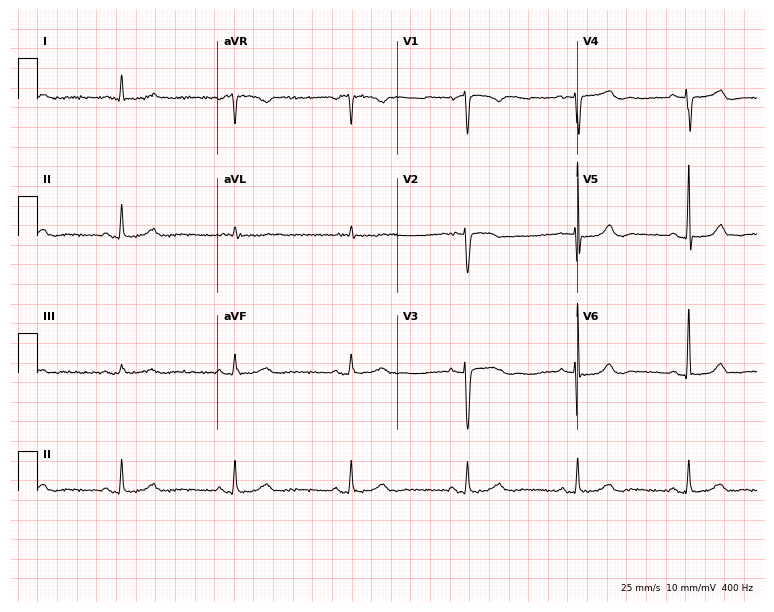
ECG — a 69-year-old female. Labelled as a normal ECG.